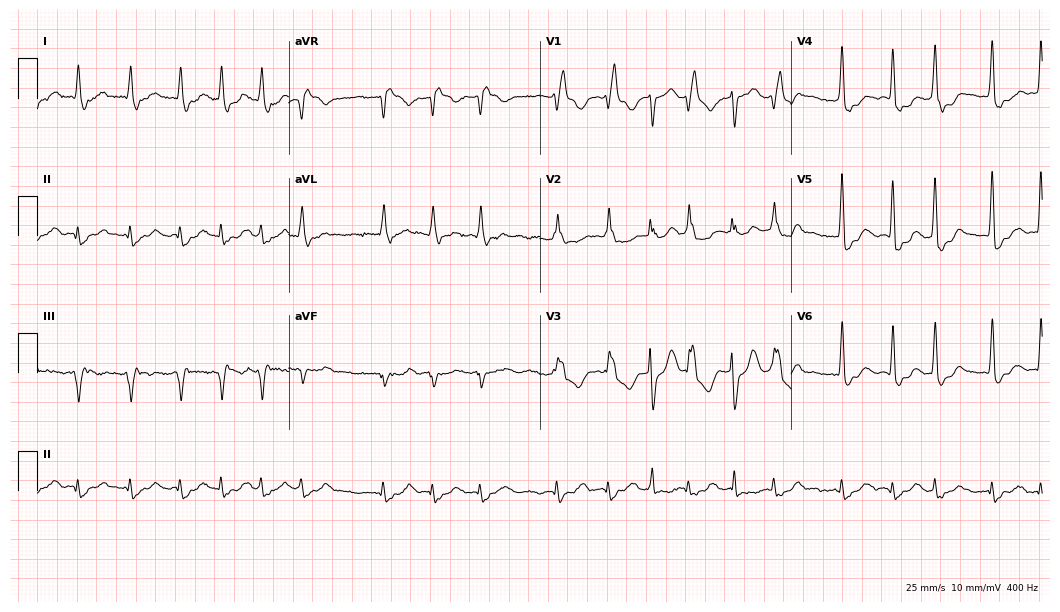
12-lead ECG from a woman, 27 years old (10.2-second recording at 400 Hz). Shows right bundle branch block, atrial fibrillation, sinus tachycardia (a sinus rate of 100 beats per minute or more).